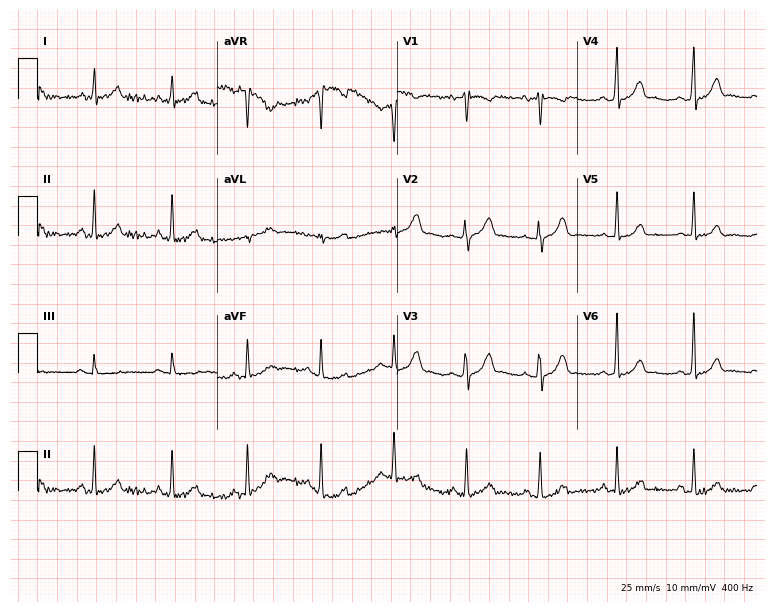
ECG — a female patient, 22 years old. Labelled as a normal ECG.